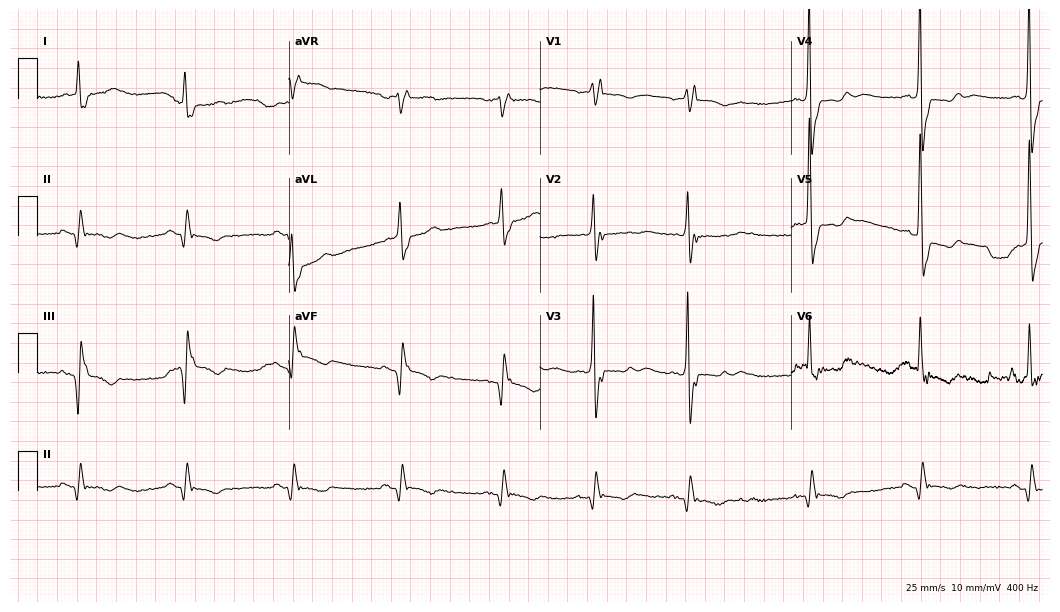
12-lead ECG from an 82-year-old female. Findings include right bundle branch block.